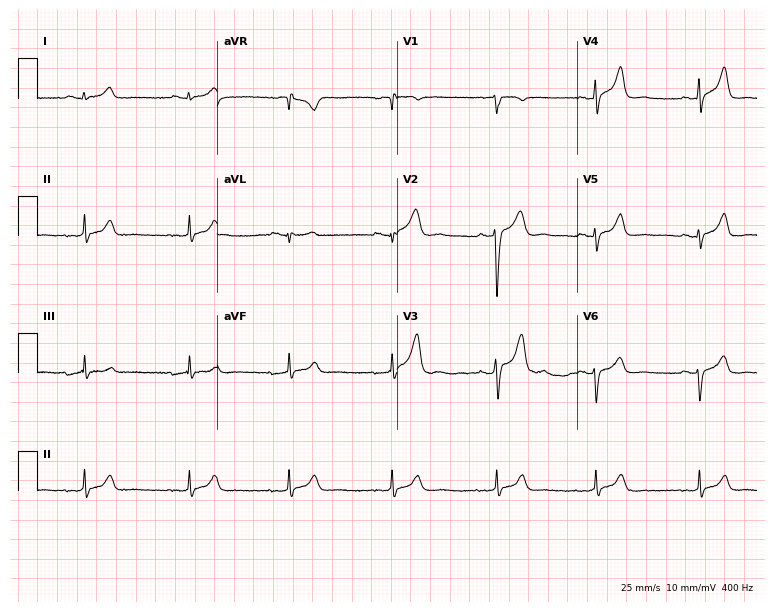
12-lead ECG from a female patient, 33 years old (7.3-second recording at 400 Hz). No first-degree AV block, right bundle branch block, left bundle branch block, sinus bradycardia, atrial fibrillation or sinus tachycardia recorded for this tracing.